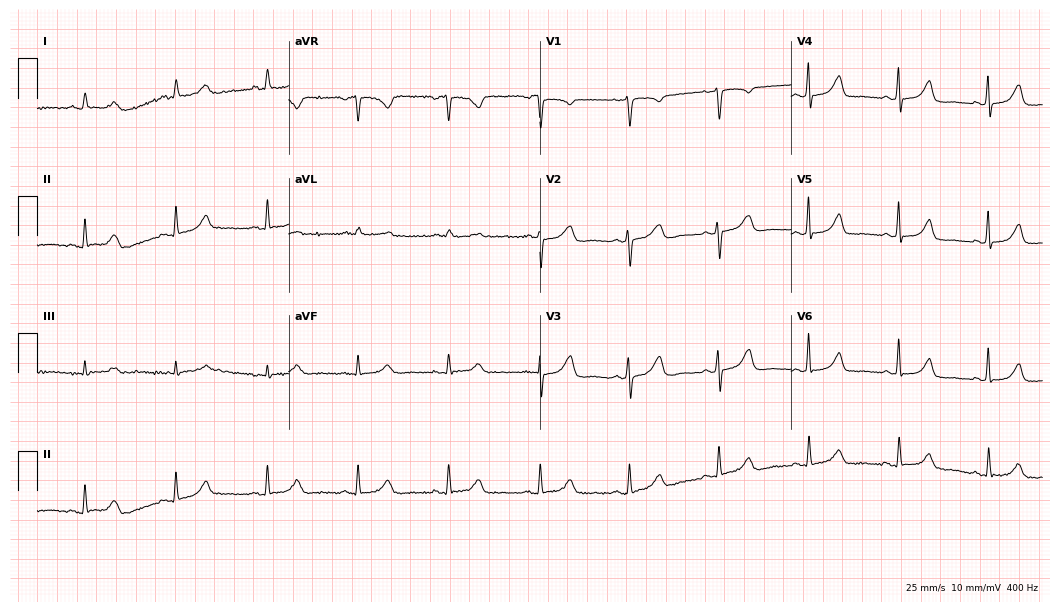
12-lead ECG from a female patient, 53 years old (10.2-second recording at 400 Hz). Recorded interpretation: within normal limits.